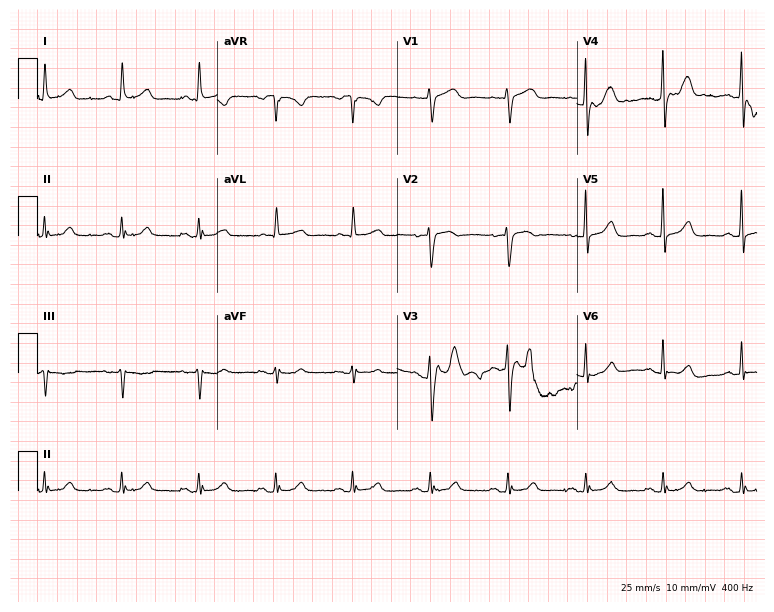
Resting 12-lead electrocardiogram. Patient: a female, 82 years old. Read as a normal ECG.